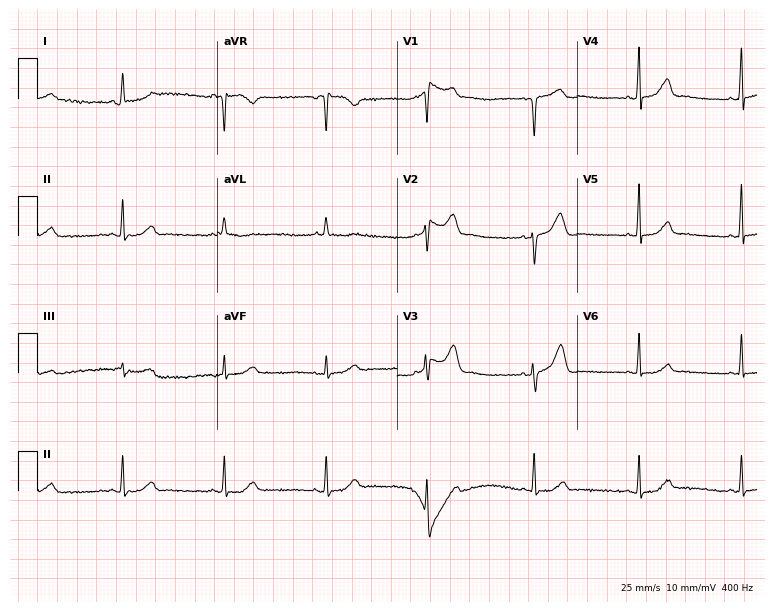
Resting 12-lead electrocardiogram (7.3-second recording at 400 Hz). Patient: a 54-year-old female. None of these six findings is recorded: first-degree AV block, right bundle branch block, left bundle branch block, sinus bradycardia, atrial fibrillation, sinus tachycardia.